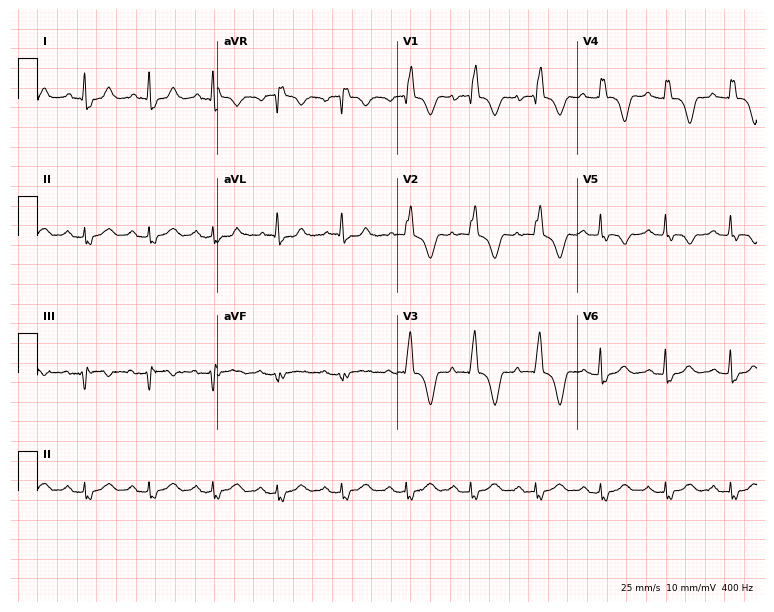
Electrocardiogram (7.3-second recording at 400 Hz), a 72-year-old woman. Of the six screened findings (first-degree AV block, right bundle branch block, left bundle branch block, sinus bradycardia, atrial fibrillation, sinus tachycardia), none is recorded.